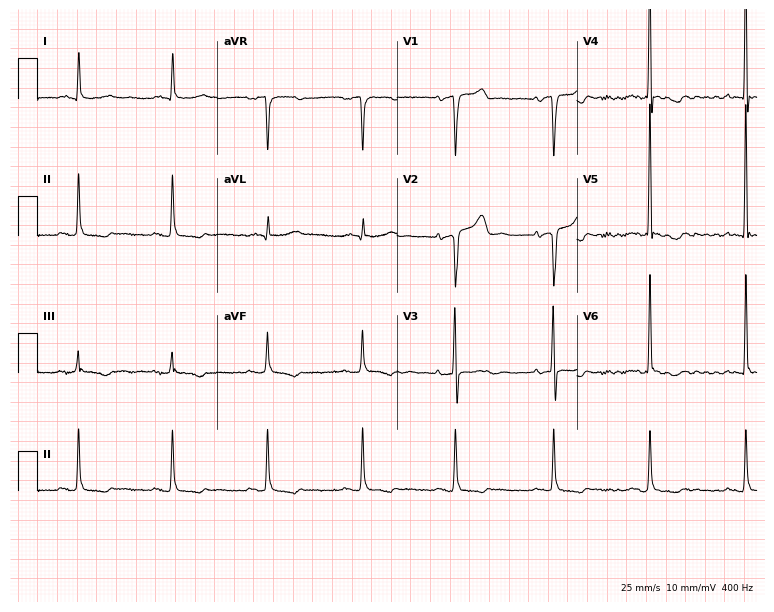
12-lead ECG from a female, 65 years old. No first-degree AV block, right bundle branch block (RBBB), left bundle branch block (LBBB), sinus bradycardia, atrial fibrillation (AF) or sinus tachycardia recorded for this tracing. Only these six findings were labelled.